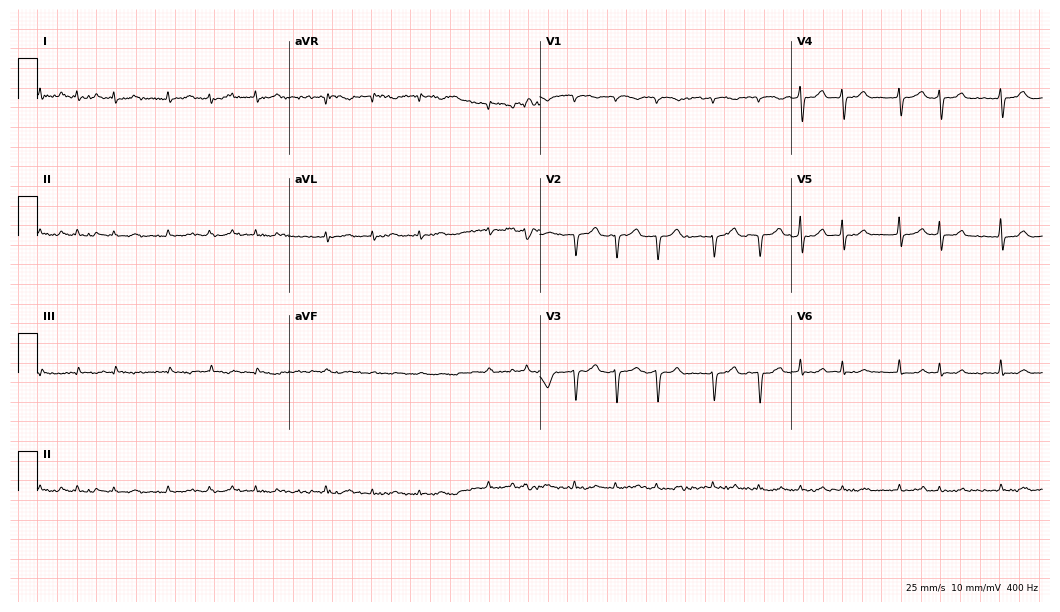
ECG — a female patient, 81 years old. Findings include atrial fibrillation.